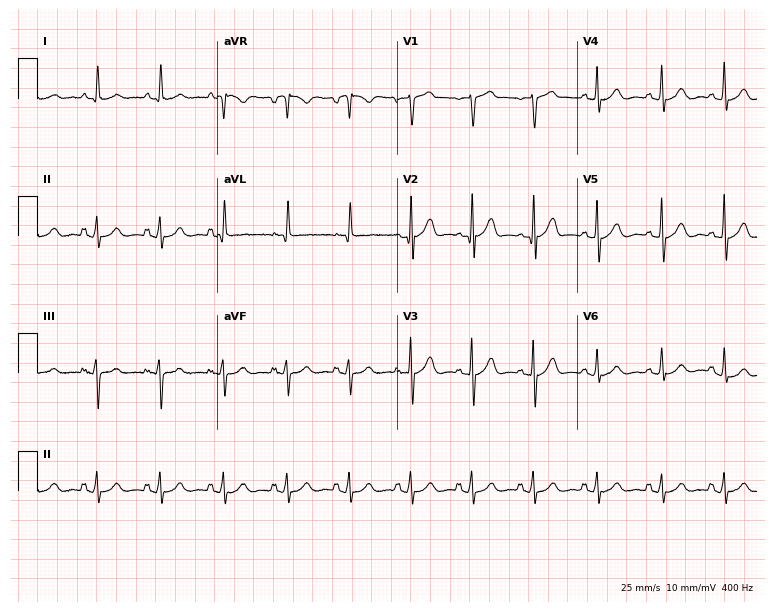
Resting 12-lead electrocardiogram (7.3-second recording at 400 Hz). Patient: a 64-year-old man. Read as a normal ECG.